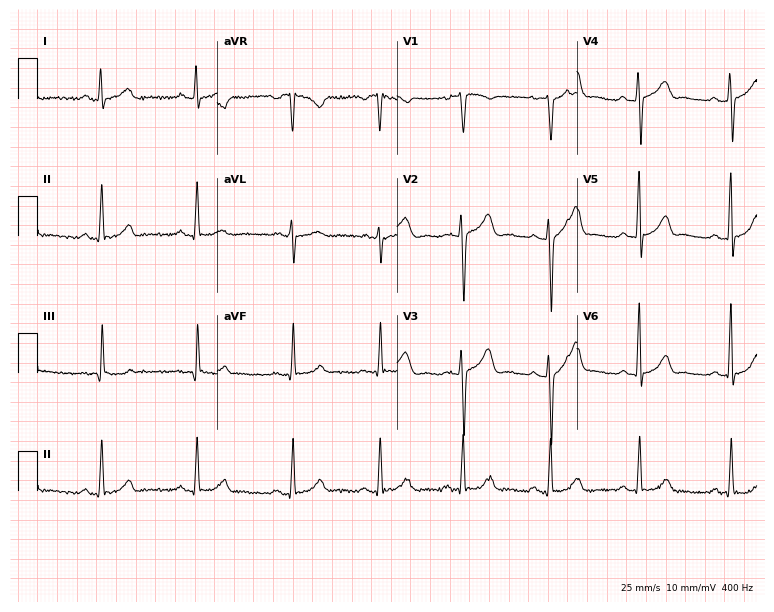
12-lead ECG from a 32-year-old female patient. Recorded interpretation: within normal limits.